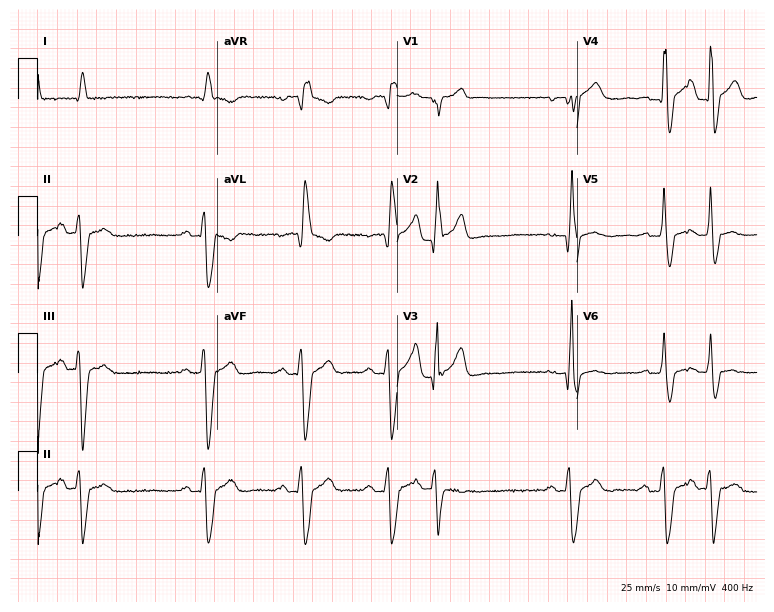
Electrocardiogram (7.3-second recording at 400 Hz), a male, 69 years old. Interpretation includes first-degree AV block, right bundle branch block.